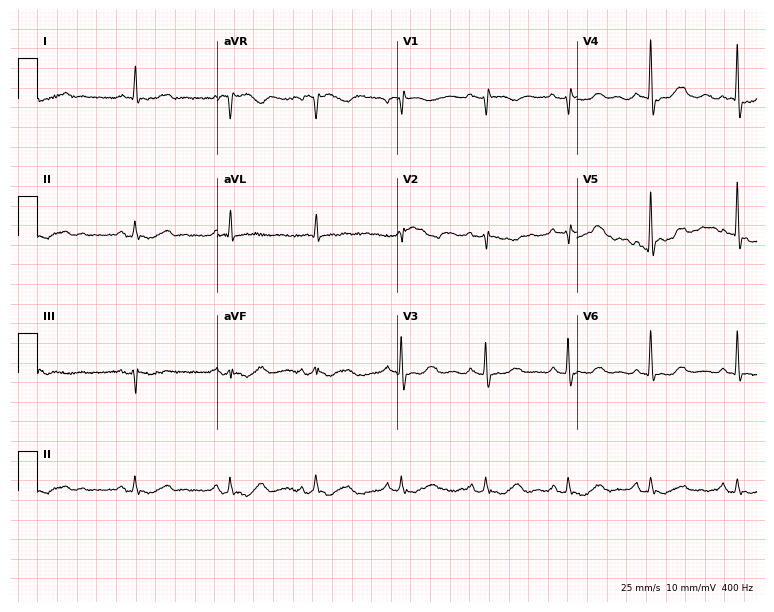
ECG (7.3-second recording at 400 Hz) — a female, 84 years old. Screened for six findings — first-degree AV block, right bundle branch block, left bundle branch block, sinus bradycardia, atrial fibrillation, sinus tachycardia — none is recorded.